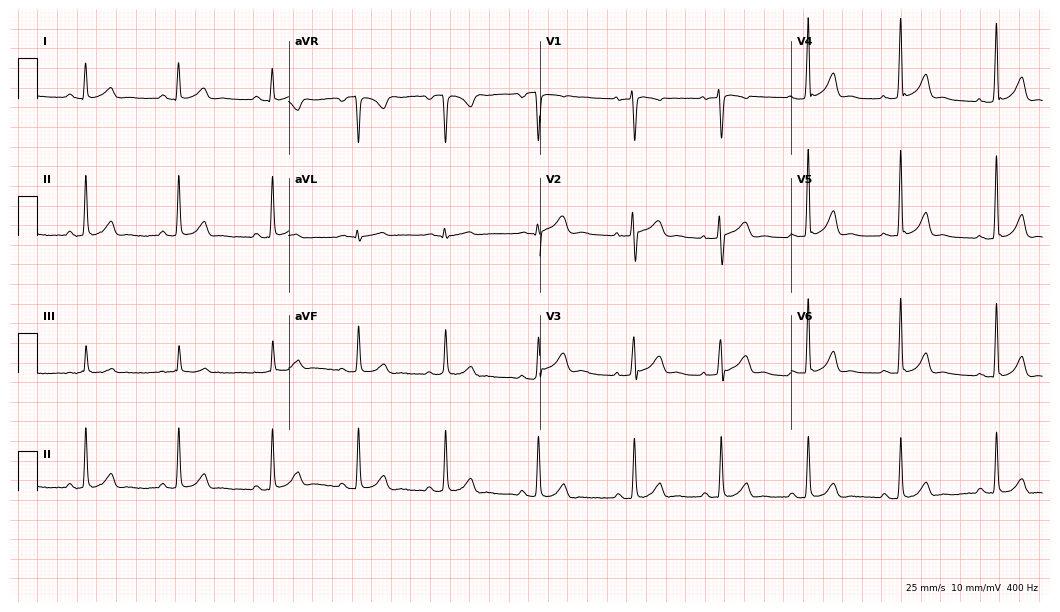
Electrocardiogram, a woman, 21 years old. Overall reading on record: normal ECG.